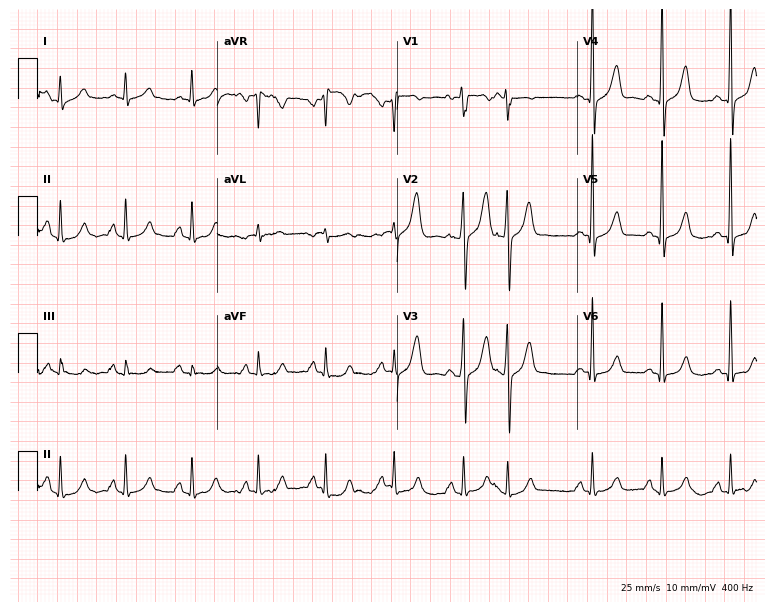
Resting 12-lead electrocardiogram (7.3-second recording at 400 Hz). Patient: a male, 79 years old. Read as a normal ECG.